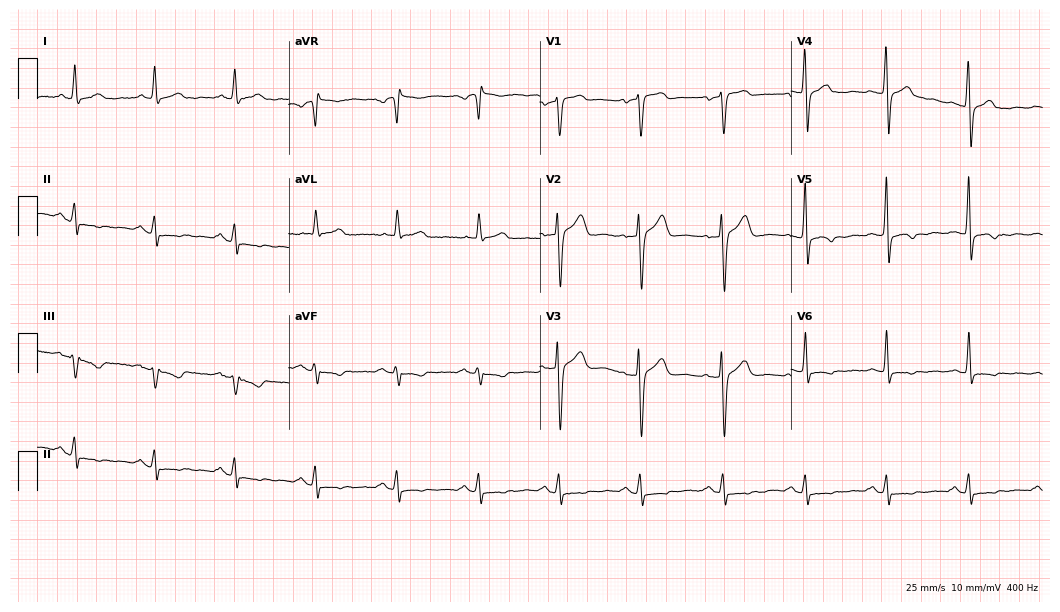
Resting 12-lead electrocardiogram. Patient: a male, 54 years old. None of these six findings is recorded: first-degree AV block, right bundle branch block (RBBB), left bundle branch block (LBBB), sinus bradycardia, atrial fibrillation (AF), sinus tachycardia. Findings outside these six are not listed.